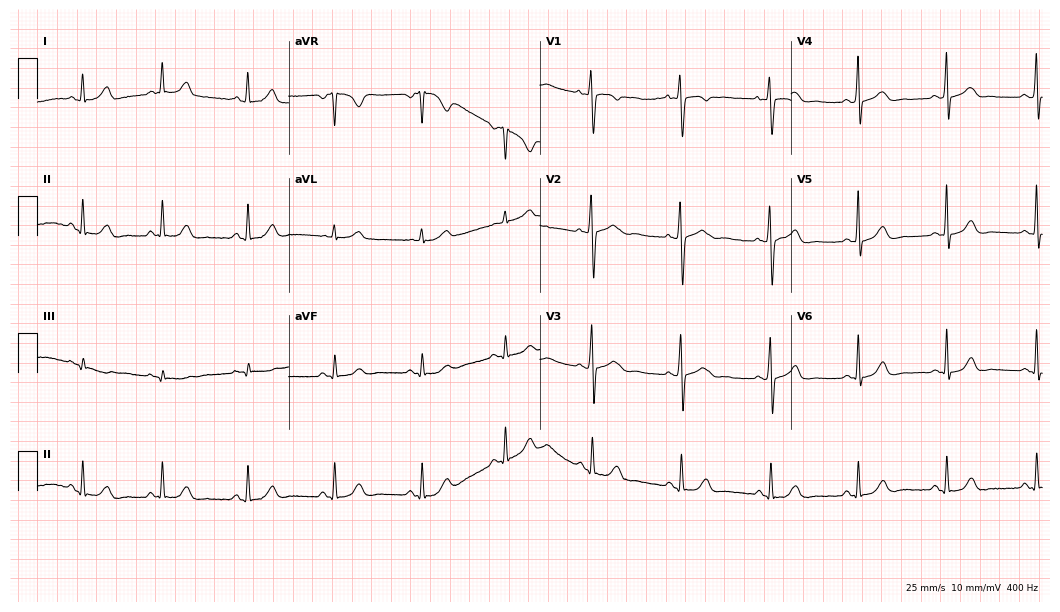
Resting 12-lead electrocardiogram. Patient: a female, 29 years old. Read as a normal ECG.